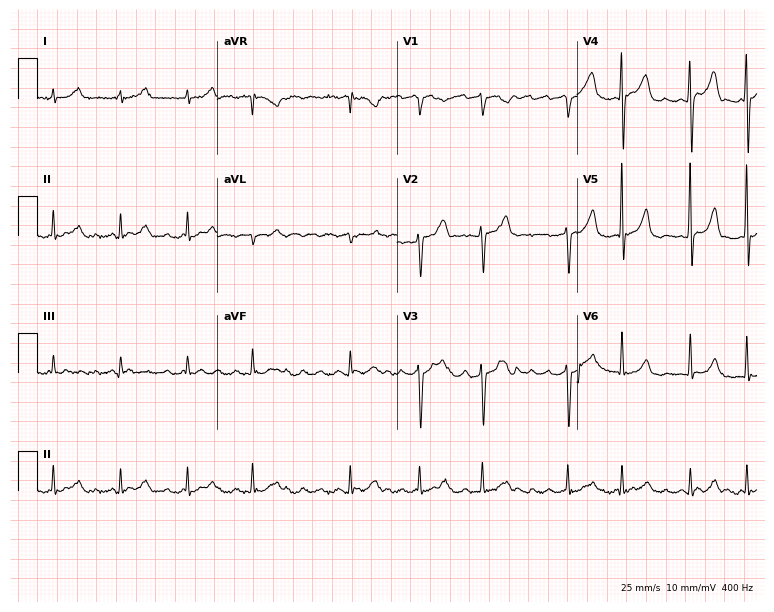
Standard 12-lead ECG recorded from a 75-year-old man. The tracing shows atrial fibrillation (AF).